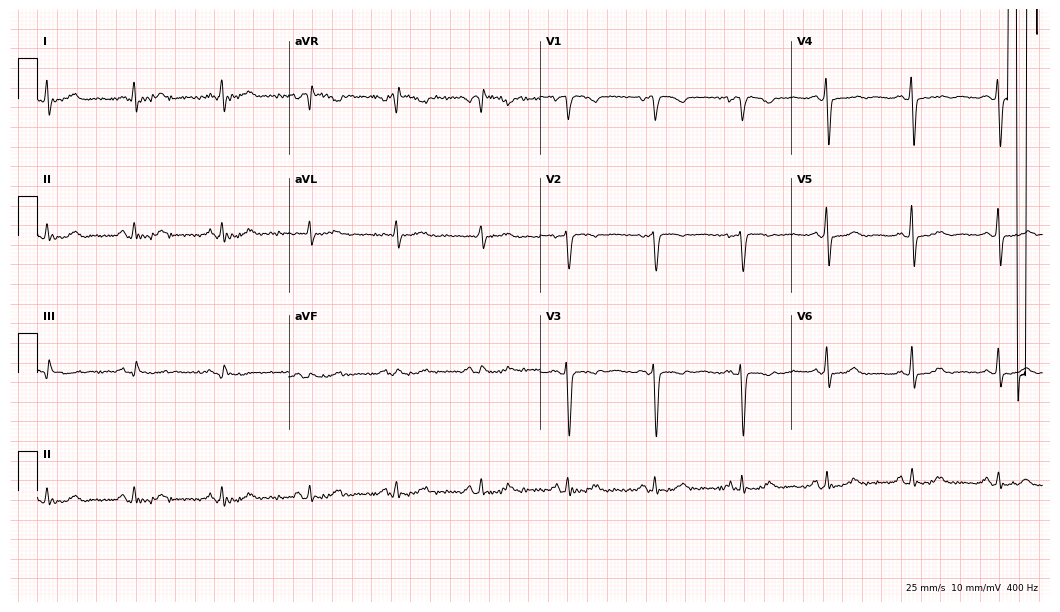
Electrocardiogram, a 56-year-old female. Of the six screened findings (first-degree AV block, right bundle branch block (RBBB), left bundle branch block (LBBB), sinus bradycardia, atrial fibrillation (AF), sinus tachycardia), none is recorded.